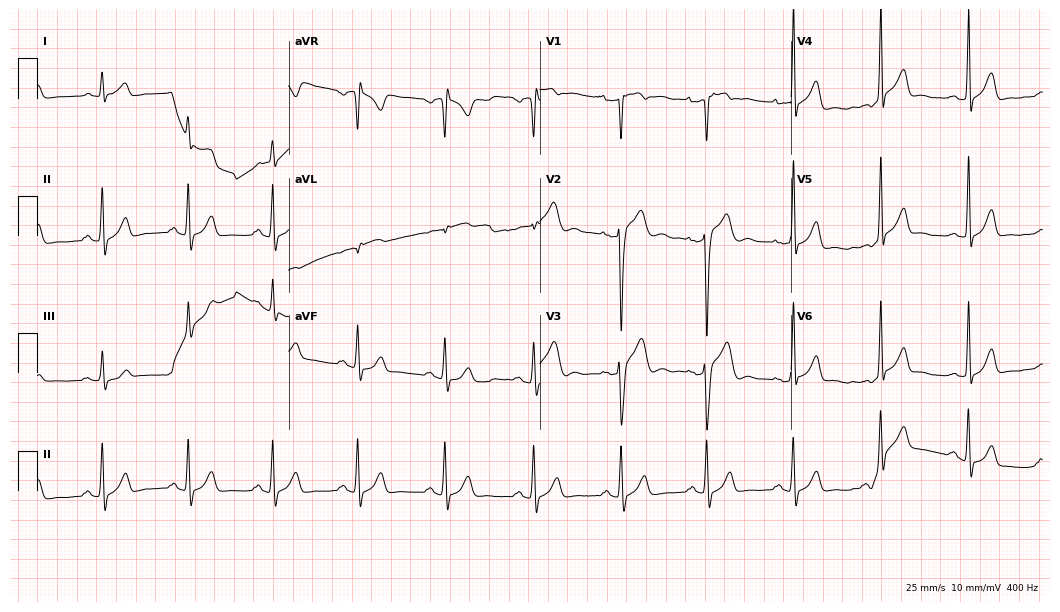
12-lead ECG from a male, 36 years old. Screened for six findings — first-degree AV block, right bundle branch block (RBBB), left bundle branch block (LBBB), sinus bradycardia, atrial fibrillation (AF), sinus tachycardia — none is recorded.